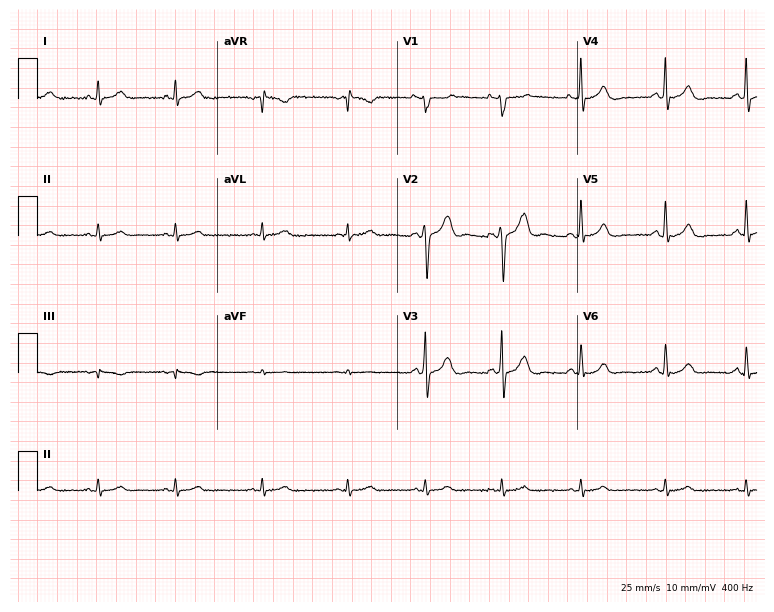
12-lead ECG from a 33-year-old female patient. Labelled as a normal ECG.